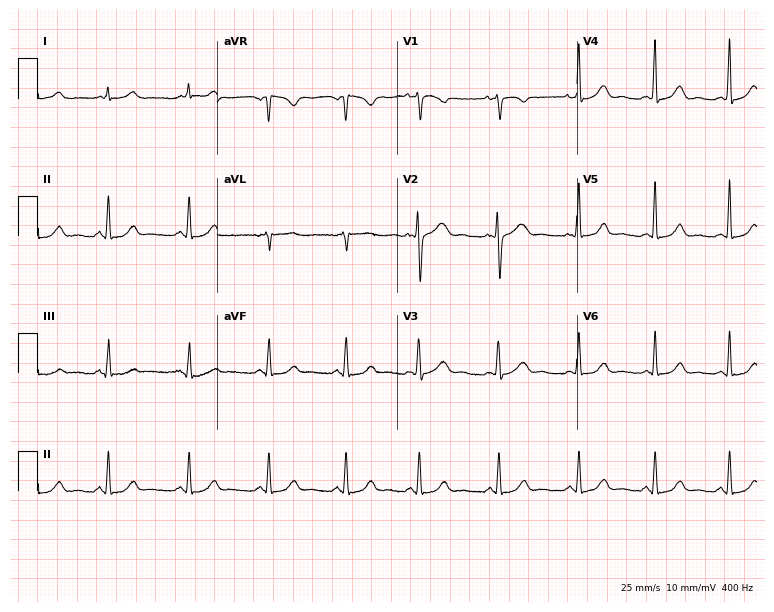
12-lead ECG from a 44-year-old female patient. Recorded interpretation: within normal limits.